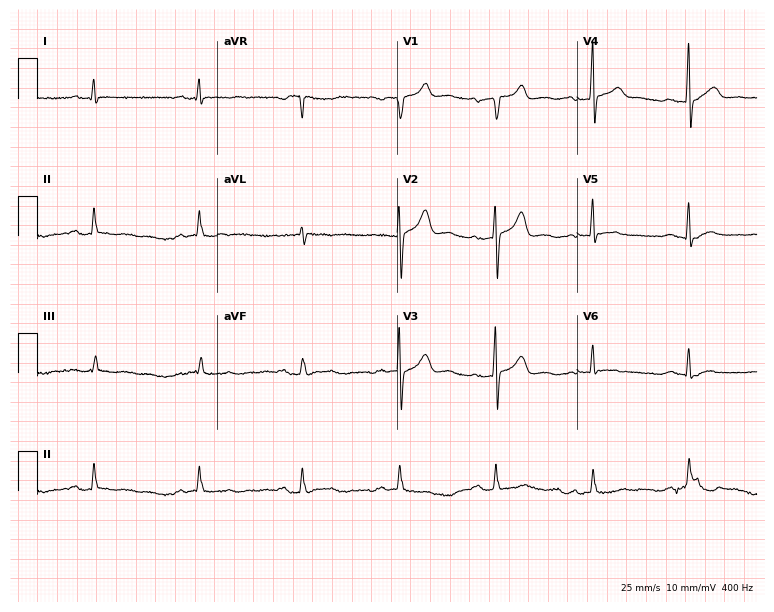
12-lead ECG from a 71-year-old male. Screened for six findings — first-degree AV block, right bundle branch block, left bundle branch block, sinus bradycardia, atrial fibrillation, sinus tachycardia — none is recorded.